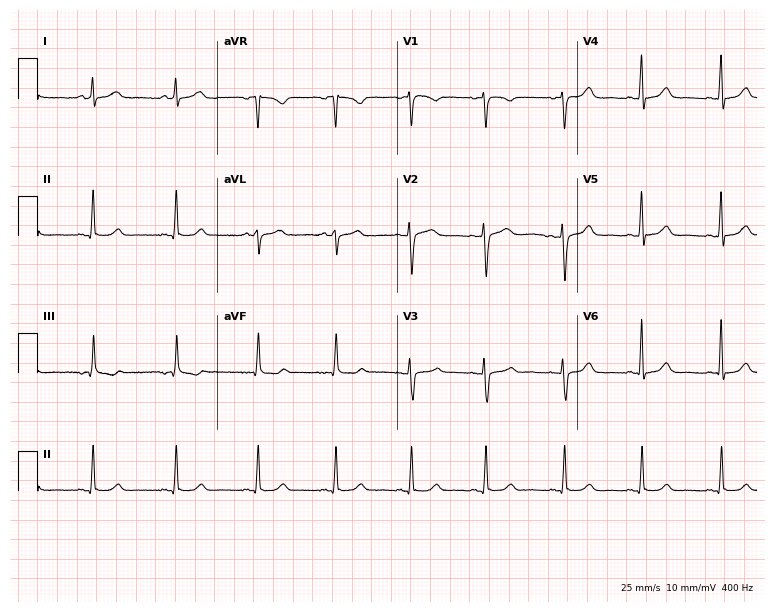
ECG — a female patient, 42 years old. Labelled as a normal ECG.